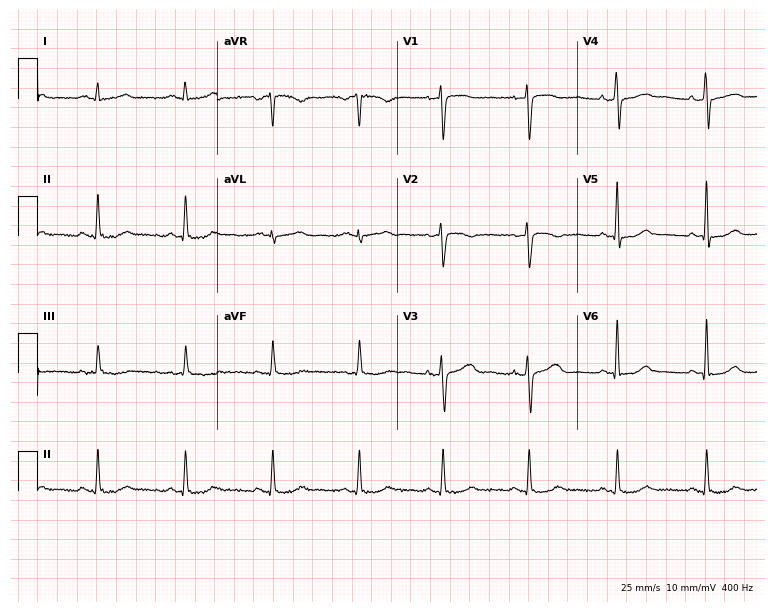
12-lead ECG from a woman, 45 years old (7.3-second recording at 400 Hz). No first-degree AV block, right bundle branch block (RBBB), left bundle branch block (LBBB), sinus bradycardia, atrial fibrillation (AF) or sinus tachycardia recorded for this tracing. Findings outside these six are not listed.